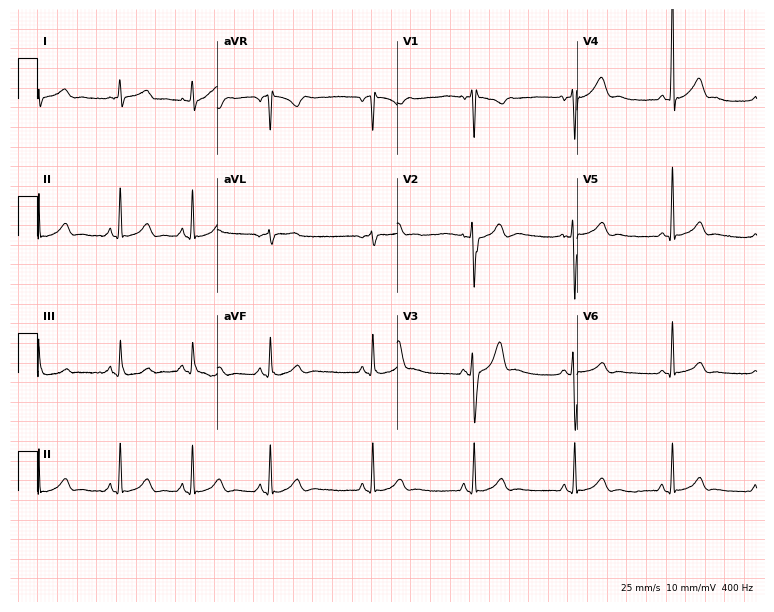
Resting 12-lead electrocardiogram (7.3-second recording at 400 Hz). Patient: a 29-year-old male. Read as a normal ECG.